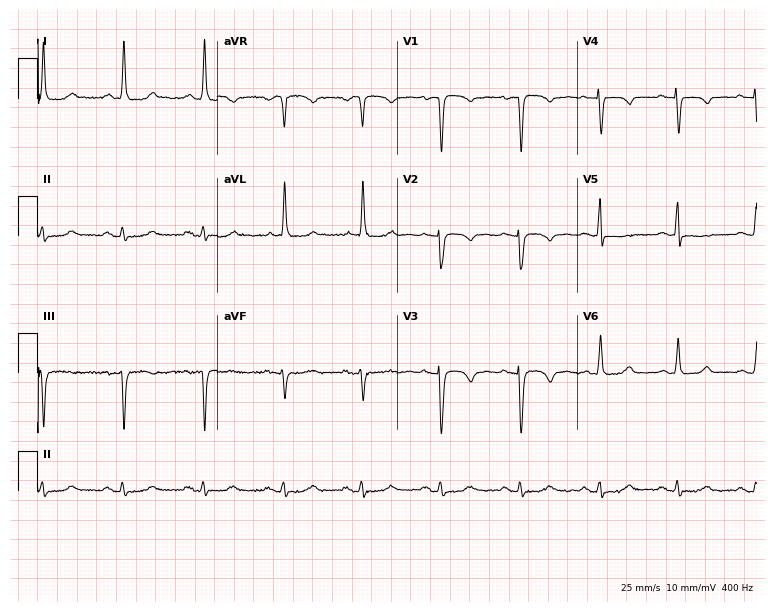
Electrocardiogram (7.3-second recording at 400 Hz), a woman, 79 years old. Of the six screened findings (first-degree AV block, right bundle branch block, left bundle branch block, sinus bradycardia, atrial fibrillation, sinus tachycardia), none is recorded.